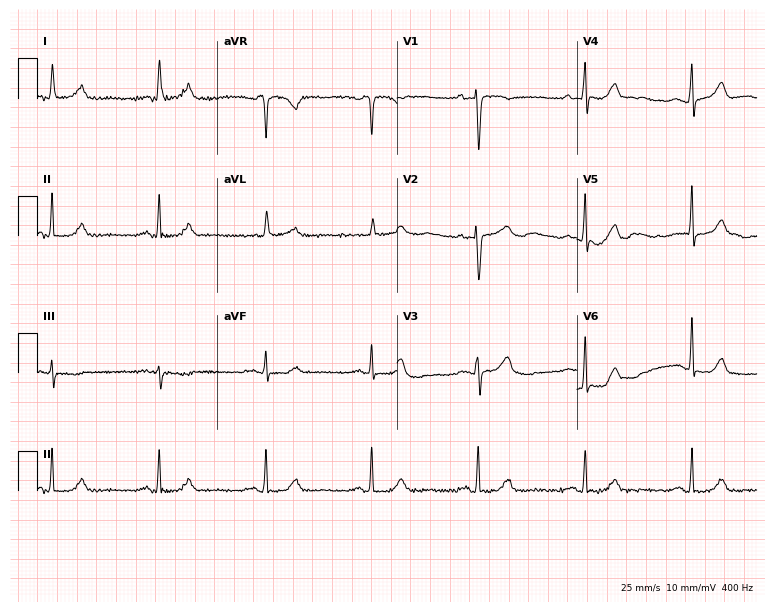
12-lead ECG (7.3-second recording at 400 Hz) from a female, 69 years old. Labelled as a normal ECG.